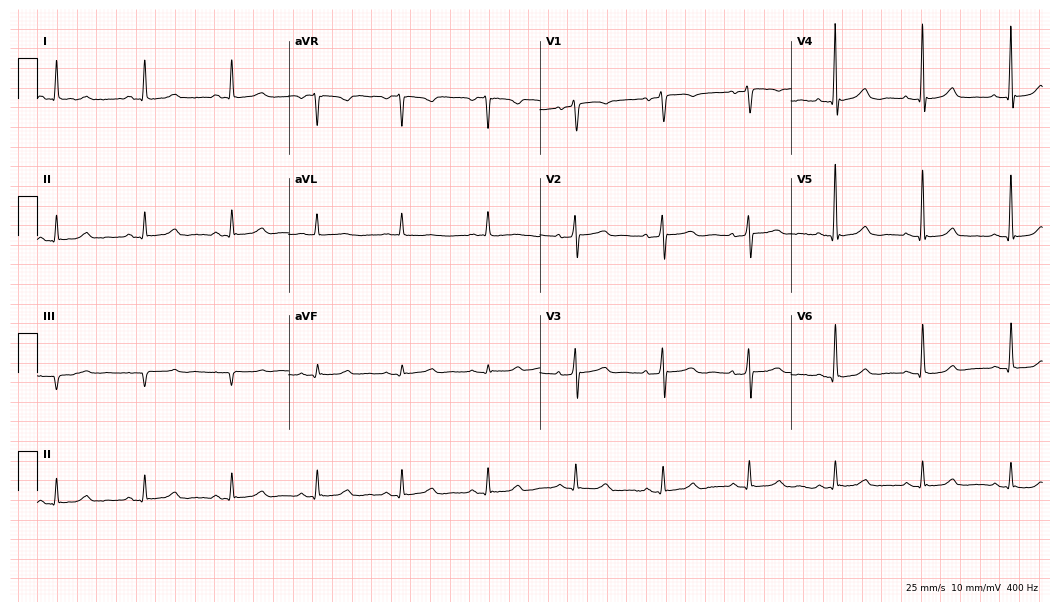
Electrocardiogram (10.2-second recording at 400 Hz), a female patient, 60 years old. Overall reading on record: normal ECG.